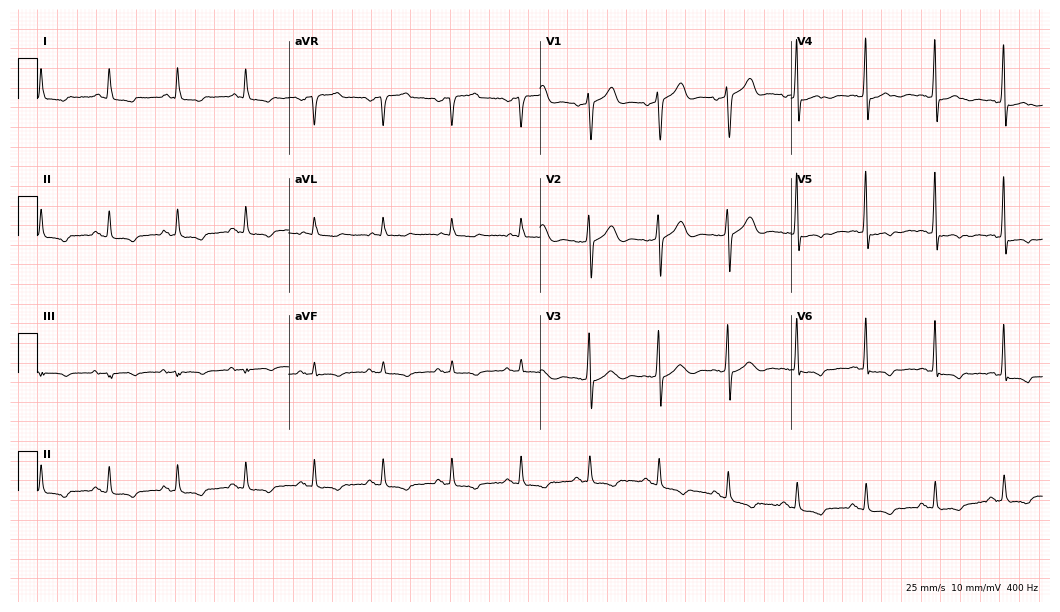
Standard 12-lead ECG recorded from a male patient, 70 years old (10.2-second recording at 400 Hz). None of these six findings is recorded: first-degree AV block, right bundle branch block, left bundle branch block, sinus bradycardia, atrial fibrillation, sinus tachycardia. Only these six findings were labelled.